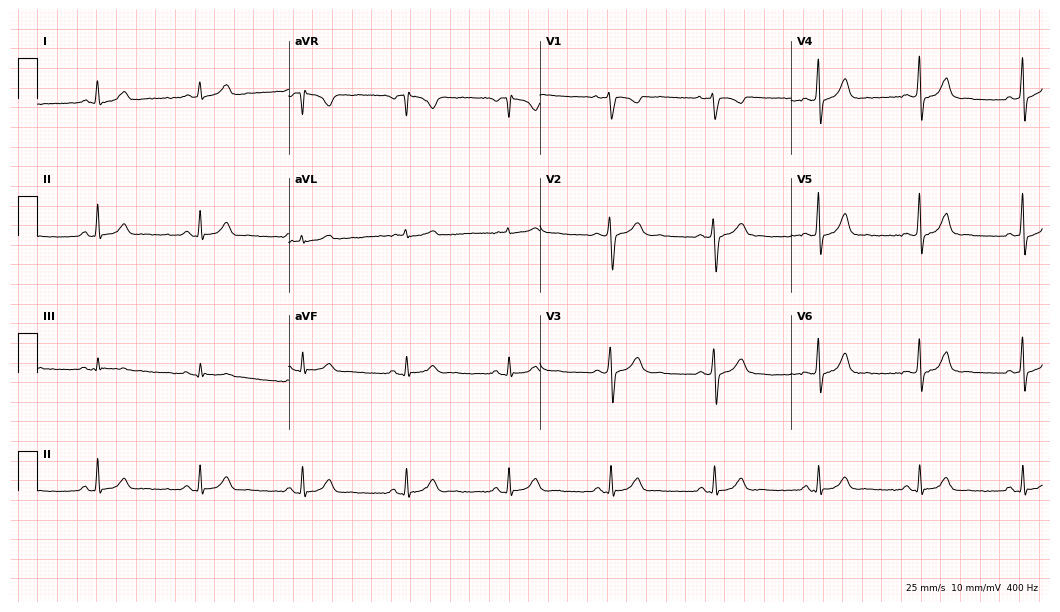
12-lead ECG from a female patient, 28 years old (10.2-second recording at 400 Hz). No first-degree AV block, right bundle branch block (RBBB), left bundle branch block (LBBB), sinus bradycardia, atrial fibrillation (AF) or sinus tachycardia recorded for this tracing. Findings outside these six are not listed.